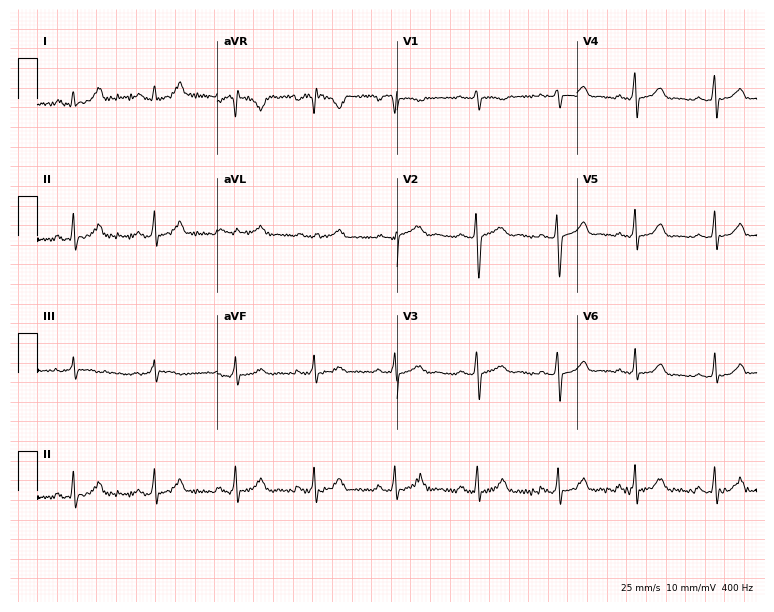
Electrocardiogram, a 24-year-old female patient. Of the six screened findings (first-degree AV block, right bundle branch block (RBBB), left bundle branch block (LBBB), sinus bradycardia, atrial fibrillation (AF), sinus tachycardia), none is recorded. Only these six findings were labelled.